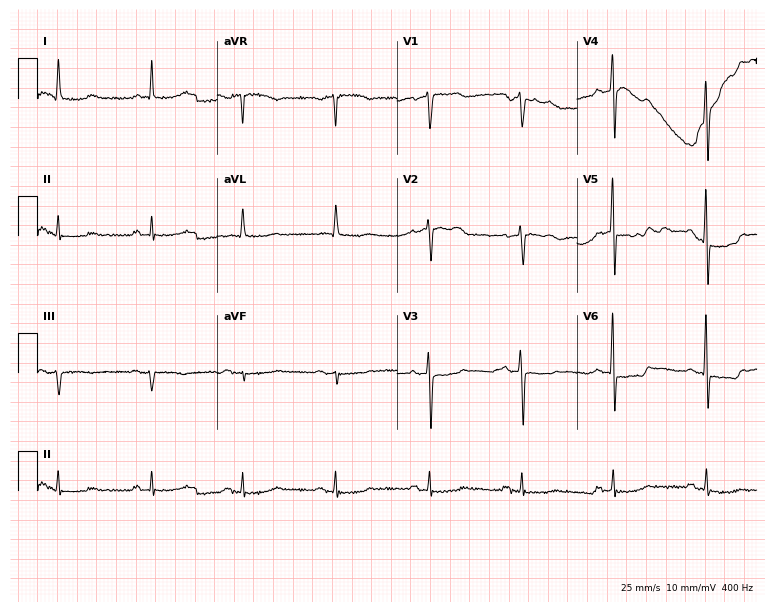
Standard 12-lead ECG recorded from a male, 66 years old. None of these six findings is recorded: first-degree AV block, right bundle branch block (RBBB), left bundle branch block (LBBB), sinus bradycardia, atrial fibrillation (AF), sinus tachycardia. Only these six findings were labelled.